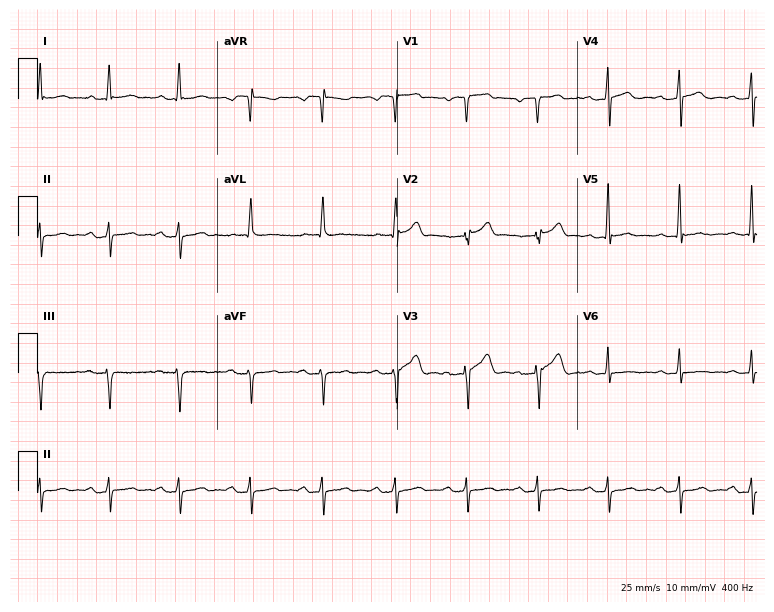
Electrocardiogram, a man, 49 years old. Of the six screened findings (first-degree AV block, right bundle branch block, left bundle branch block, sinus bradycardia, atrial fibrillation, sinus tachycardia), none is recorded. Only these six findings were labelled.